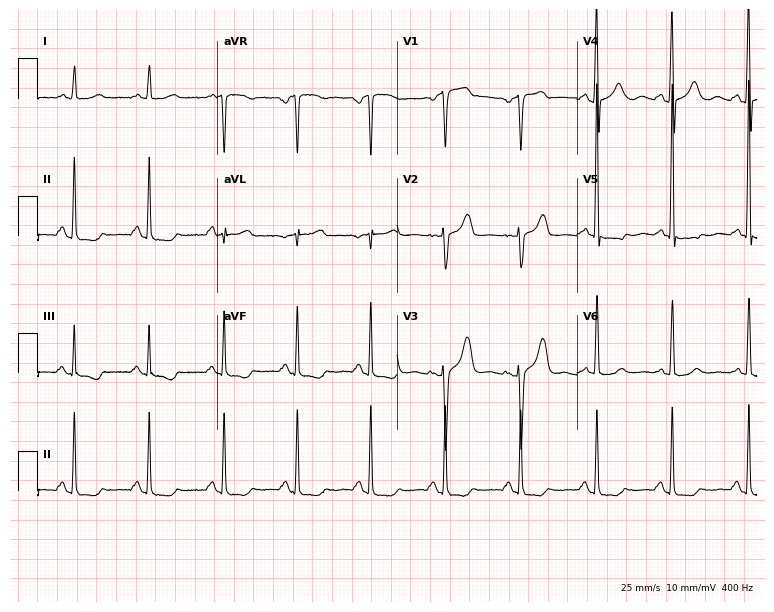
Electrocardiogram (7.3-second recording at 400 Hz), a 58-year-old female patient. Of the six screened findings (first-degree AV block, right bundle branch block, left bundle branch block, sinus bradycardia, atrial fibrillation, sinus tachycardia), none is recorded.